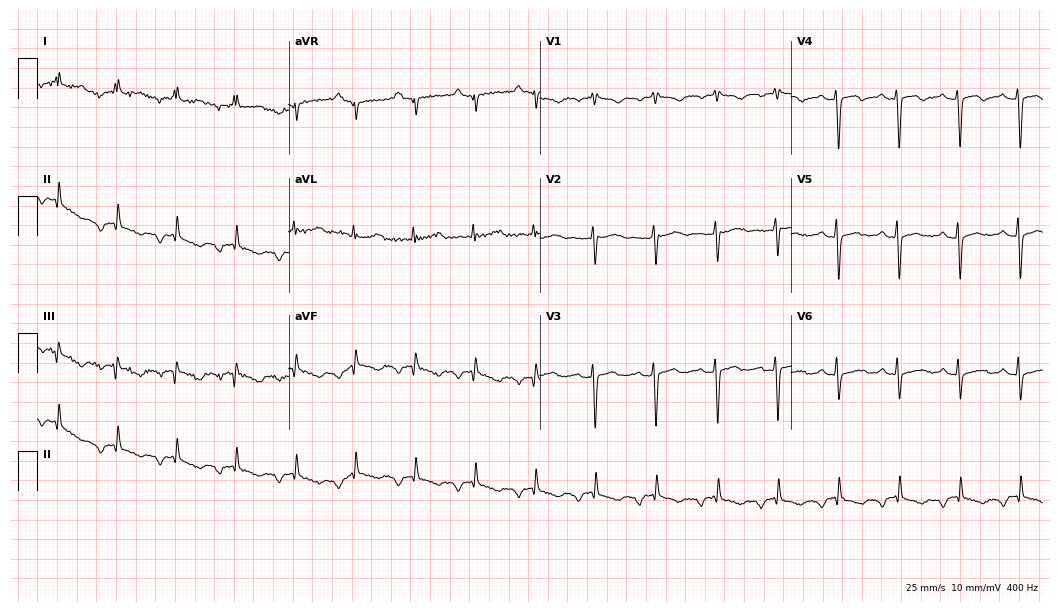
ECG (10.2-second recording at 400 Hz) — a female patient, 59 years old. Screened for six findings — first-degree AV block, right bundle branch block, left bundle branch block, sinus bradycardia, atrial fibrillation, sinus tachycardia — none is recorded.